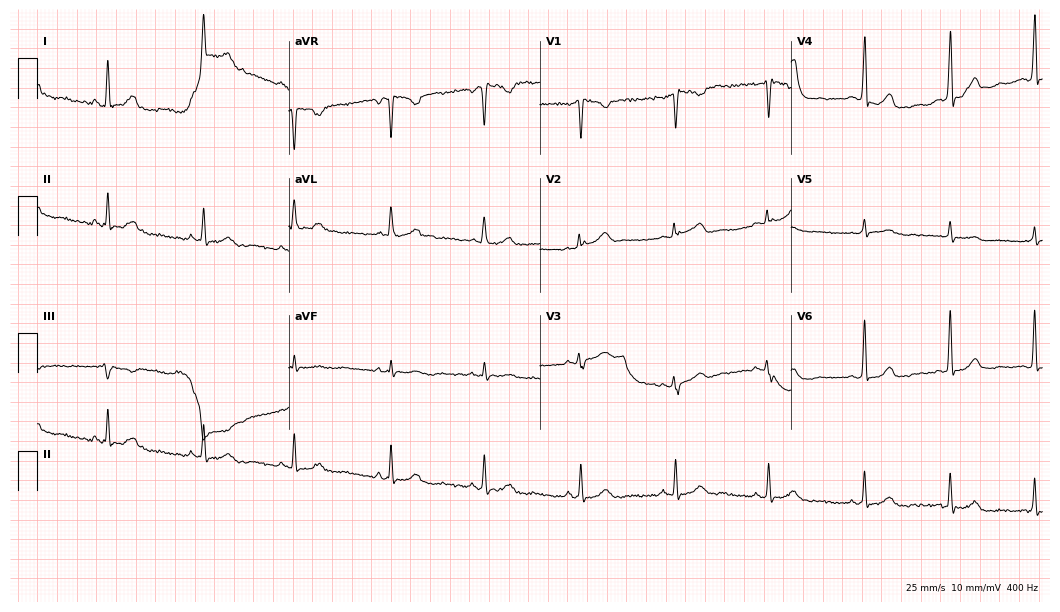
Standard 12-lead ECG recorded from a woman, 46 years old. None of these six findings is recorded: first-degree AV block, right bundle branch block, left bundle branch block, sinus bradycardia, atrial fibrillation, sinus tachycardia.